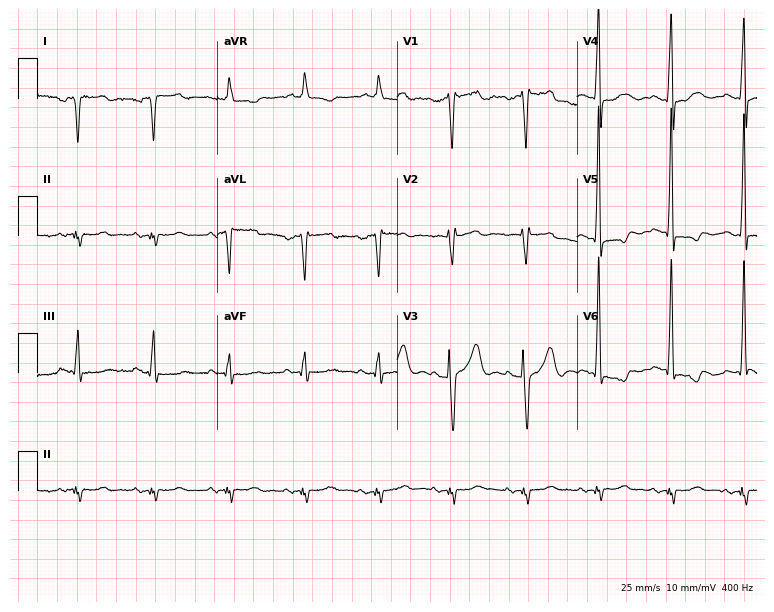
12-lead ECG from a male patient, 68 years old (7.3-second recording at 400 Hz). No first-degree AV block, right bundle branch block (RBBB), left bundle branch block (LBBB), sinus bradycardia, atrial fibrillation (AF) or sinus tachycardia recorded for this tracing. Other findings, if any, are not listed.